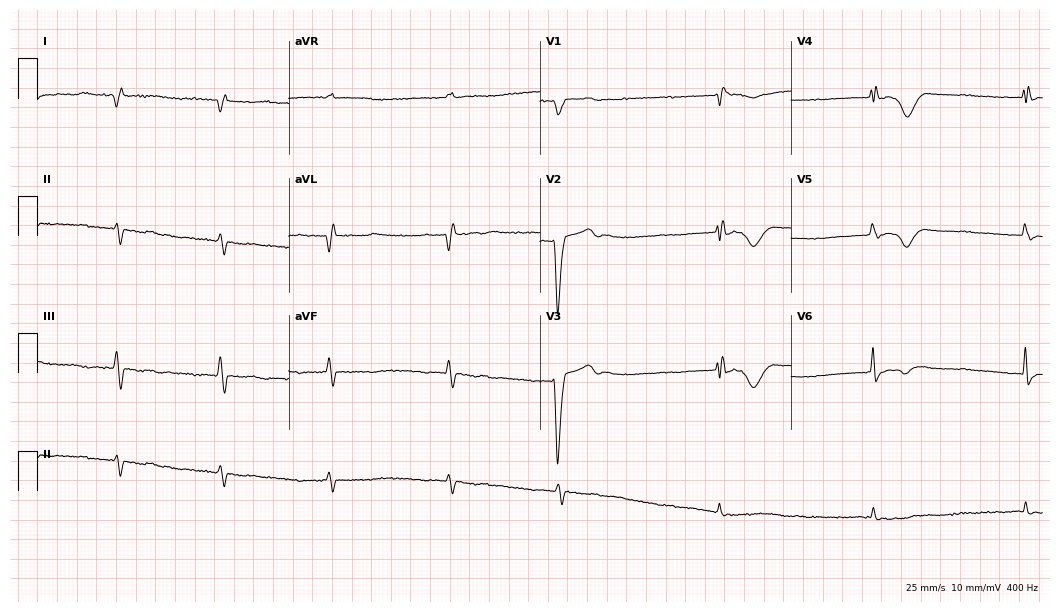
Standard 12-lead ECG recorded from a 75-year-old female (10.2-second recording at 400 Hz). None of these six findings is recorded: first-degree AV block, right bundle branch block (RBBB), left bundle branch block (LBBB), sinus bradycardia, atrial fibrillation (AF), sinus tachycardia. Other findings, if any, are not listed.